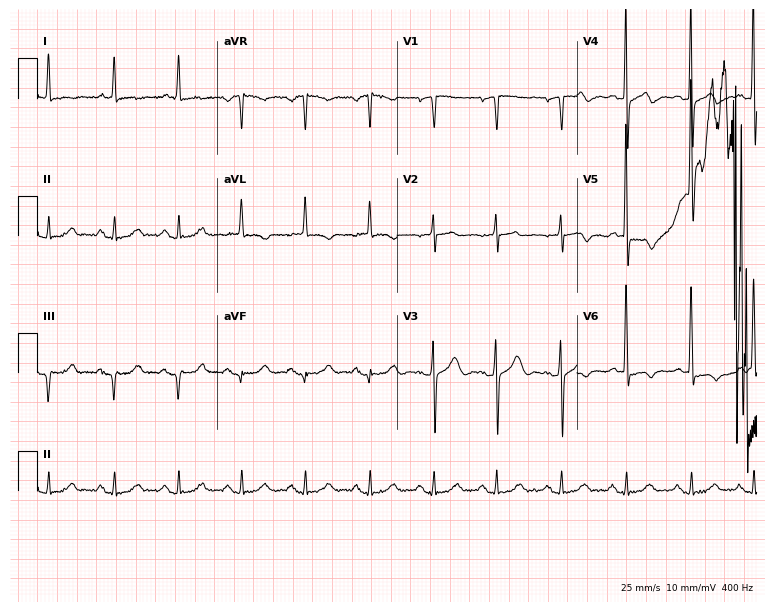
12-lead ECG from a female patient, 85 years old. Screened for six findings — first-degree AV block, right bundle branch block, left bundle branch block, sinus bradycardia, atrial fibrillation, sinus tachycardia — none is recorded. Only these six findings were labelled.